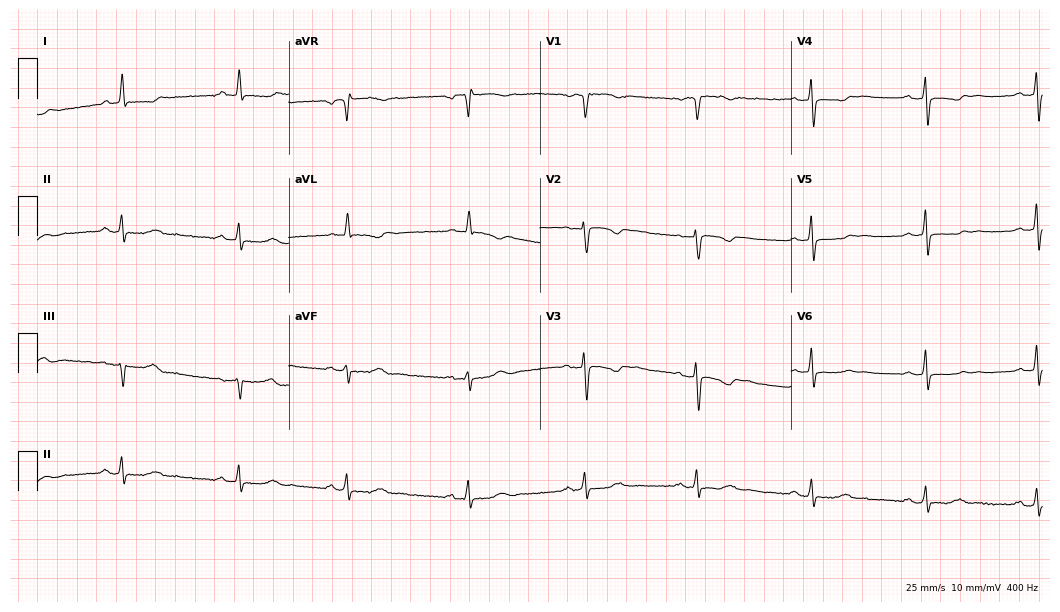
ECG — a 68-year-old female. Labelled as a normal ECG.